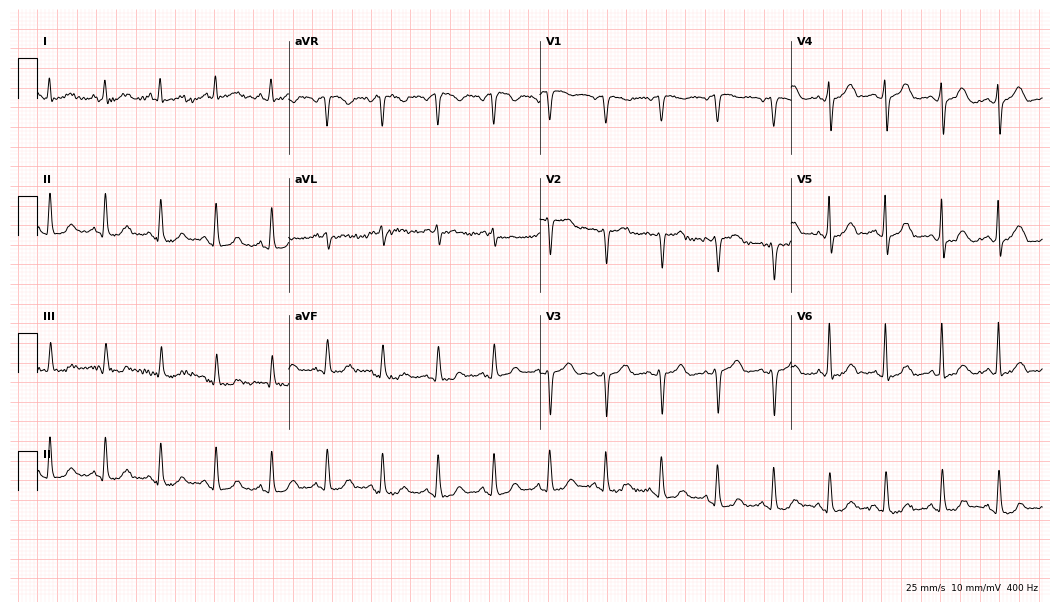
Electrocardiogram (10.2-second recording at 400 Hz), a female patient, 74 years old. Interpretation includes sinus tachycardia (a sinus rate of 100 beats per minute or more).